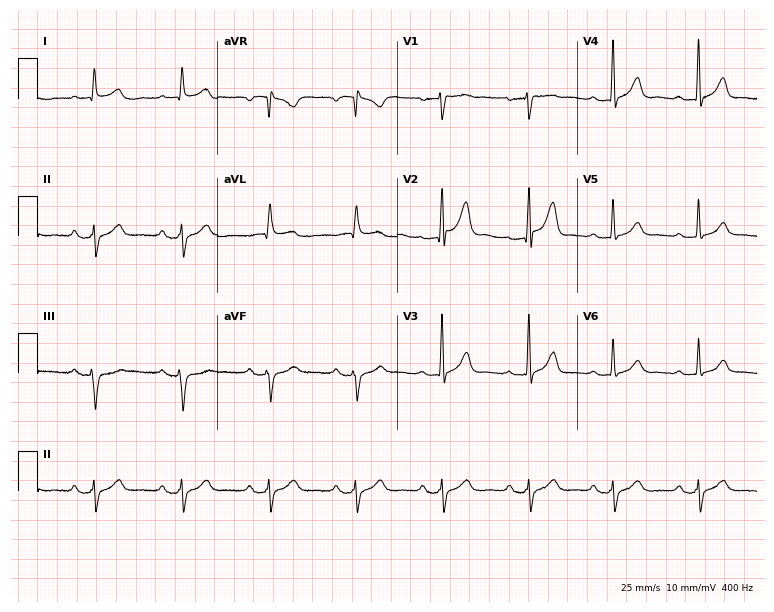
12-lead ECG from a man, 54 years old. No first-degree AV block, right bundle branch block, left bundle branch block, sinus bradycardia, atrial fibrillation or sinus tachycardia recorded for this tracing. Only these six findings were labelled.